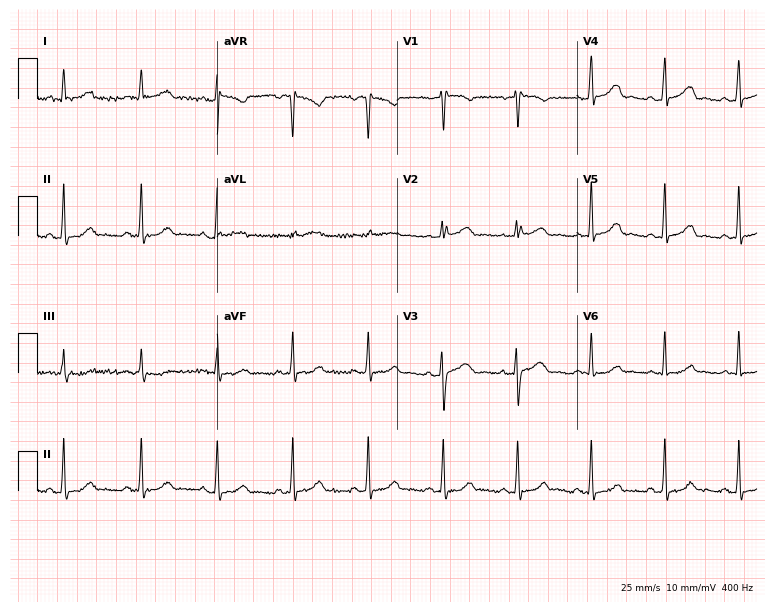
Electrocardiogram (7.3-second recording at 400 Hz), a female patient, 36 years old. Of the six screened findings (first-degree AV block, right bundle branch block (RBBB), left bundle branch block (LBBB), sinus bradycardia, atrial fibrillation (AF), sinus tachycardia), none is recorded. Other findings, if any, are not listed.